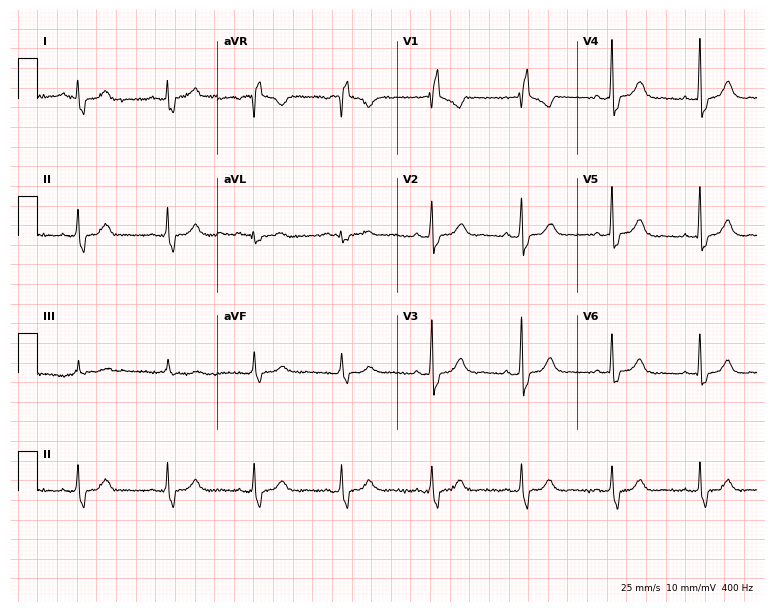
12-lead ECG from a woman, 53 years old. Shows right bundle branch block (RBBB).